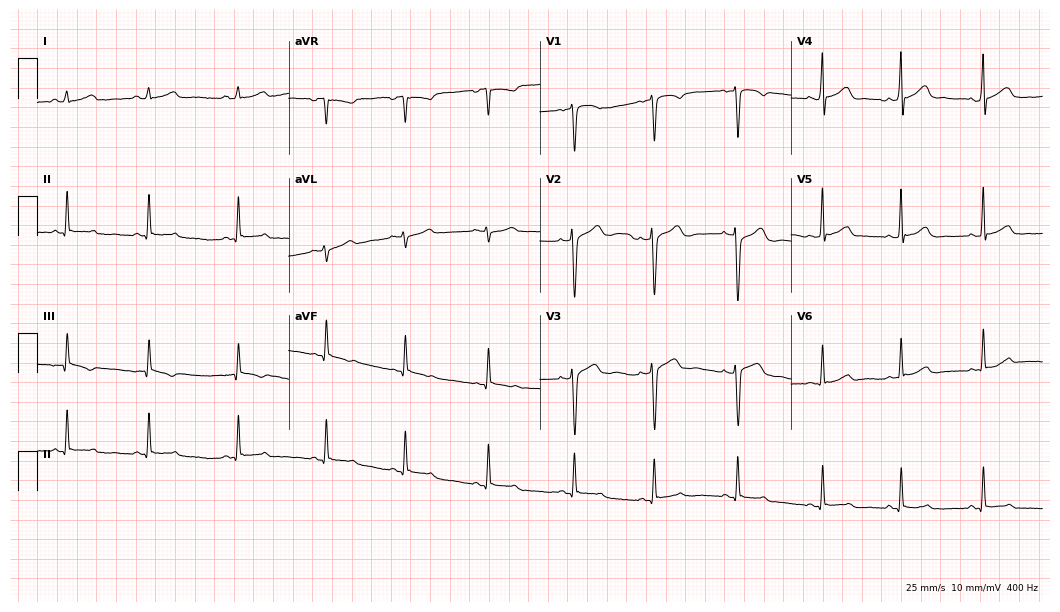
12-lead ECG from a woman, 20 years old. Screened for six findings — first-degree AV block, right bundle branch block, left bundle branch block, sinus bradycardia, atrial fibrillation, sinus tachycardia — none is recorded.